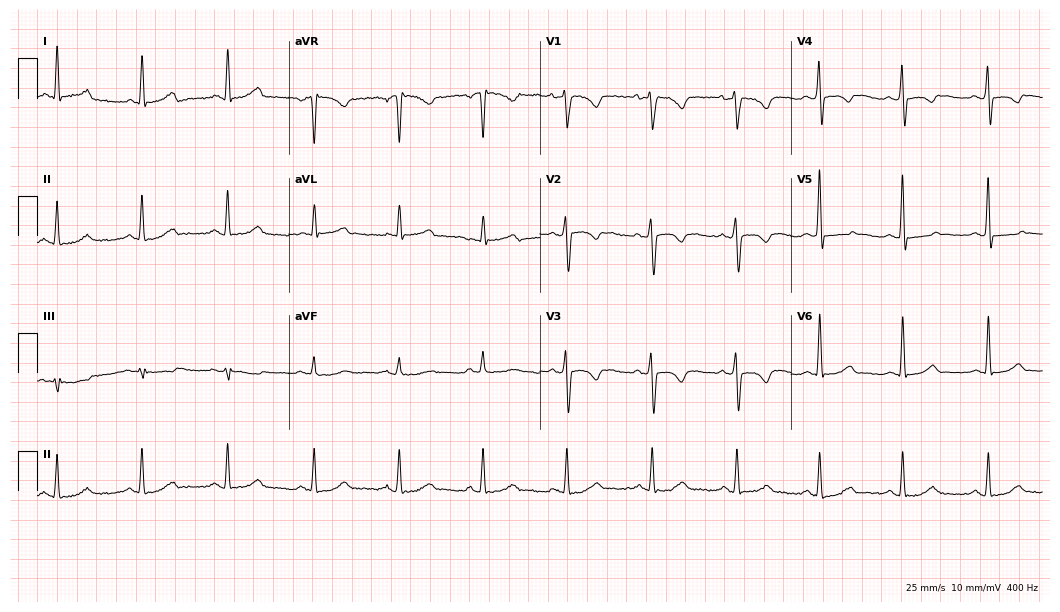
12-lead ECG from a woman, 53 years old (10.2-second recording at 400 Hz). No first-degree AV block, right bundle branch block, left bundle branch block, sinus bradycardia, atrial fibrillation or sinus tachycardia recorded for this tracing.